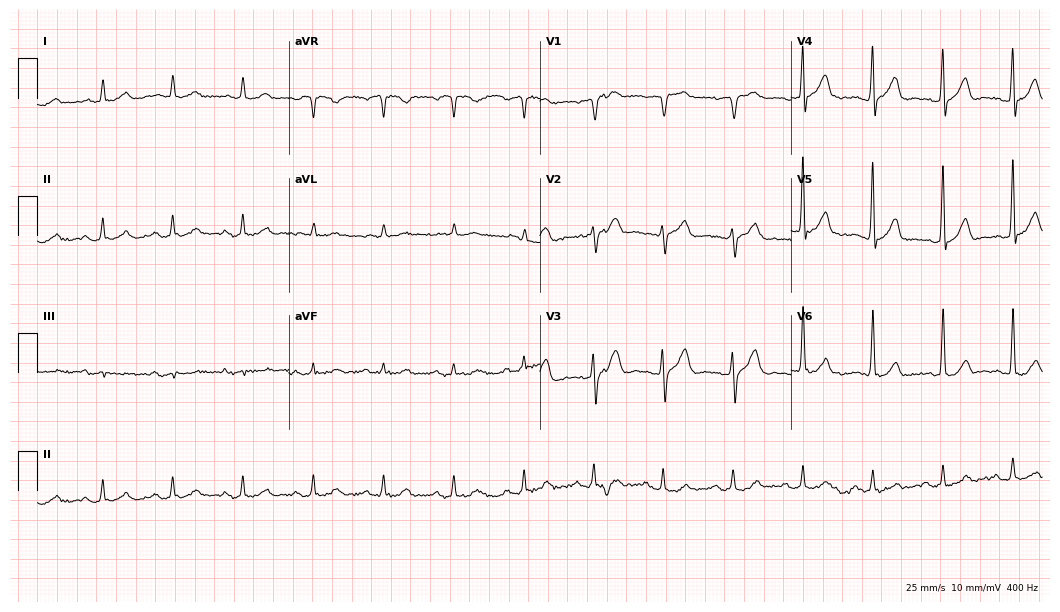
12-lead ECG from a 75-year-old male patient (10.2-second recording at 400 Hz). Recorded interpretation: within normal limits.